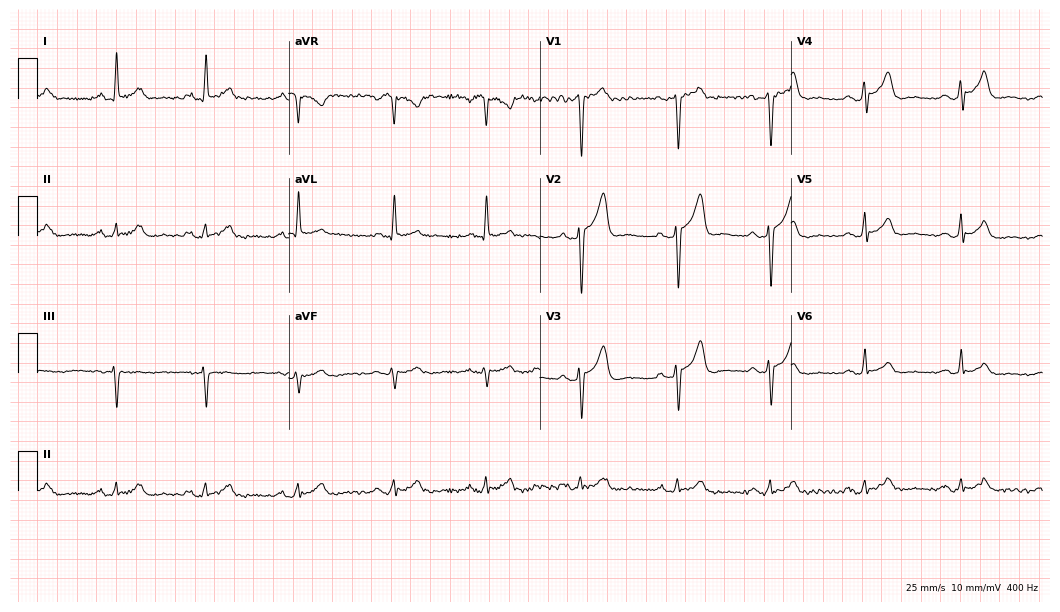
Resting 12-lead electrocardiogram (10.2-second recording at 400 Hz). Patient: a male, 49 years old. None of these six findings is recorded: first-degree AV block, right bundle branch block, left bundle branch block, sinus bradycardia, atrial fibrillation, sinus tachycardia. Other findings, if any, are not listed.